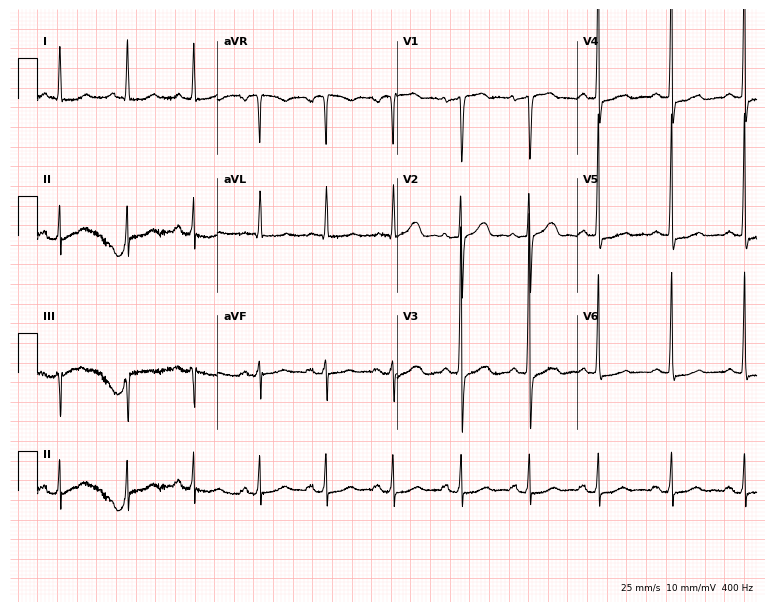
Standard 12-lead ECG recorded from a female patient, 65 years old. None of these six findings is recorded: first-degree AV block, right bundle branch block, left bundle branch block, sinus bradycardia, atrial fibrillation, sinus tachycardia.